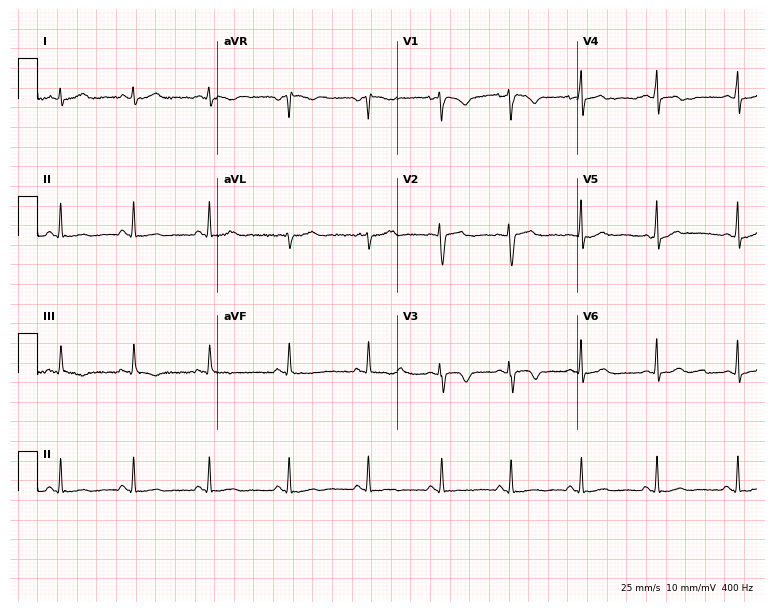
12-lead ECG from a woman, 26 years old. No first-degree AV block, right bundle branch block, left bundle branch block, sinus bradycardia, atrial fibrillation or sinus tachycardia recorded for this tracing.